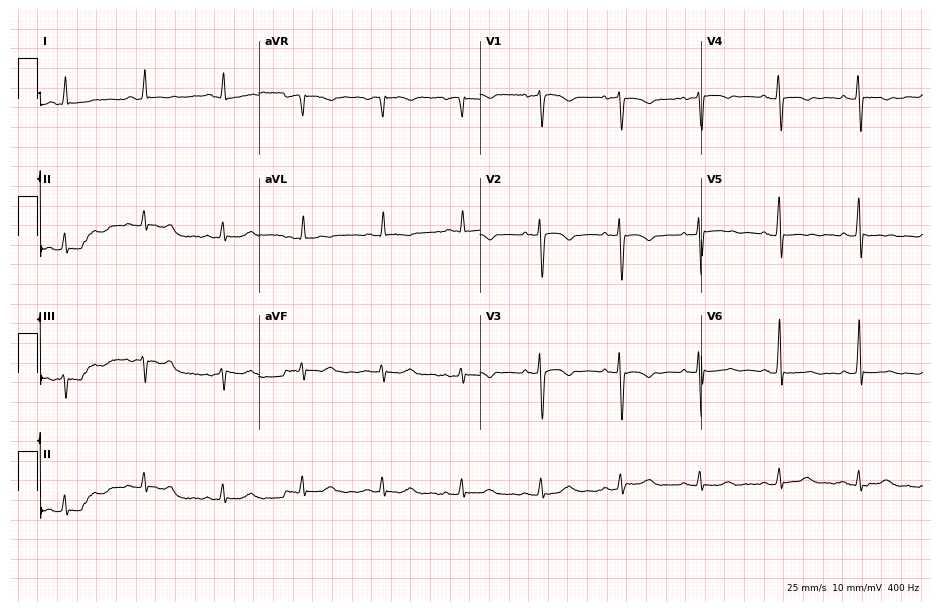
12-lead ECG (9-second recording at 400 Hz) from a woman, 77 years old. Screened for six findings — first-degree AV block, right bundle branch block, left bundle branch block, sinus bradycardia, atrial fibrillation, sinus tachycardia — none is recorded.